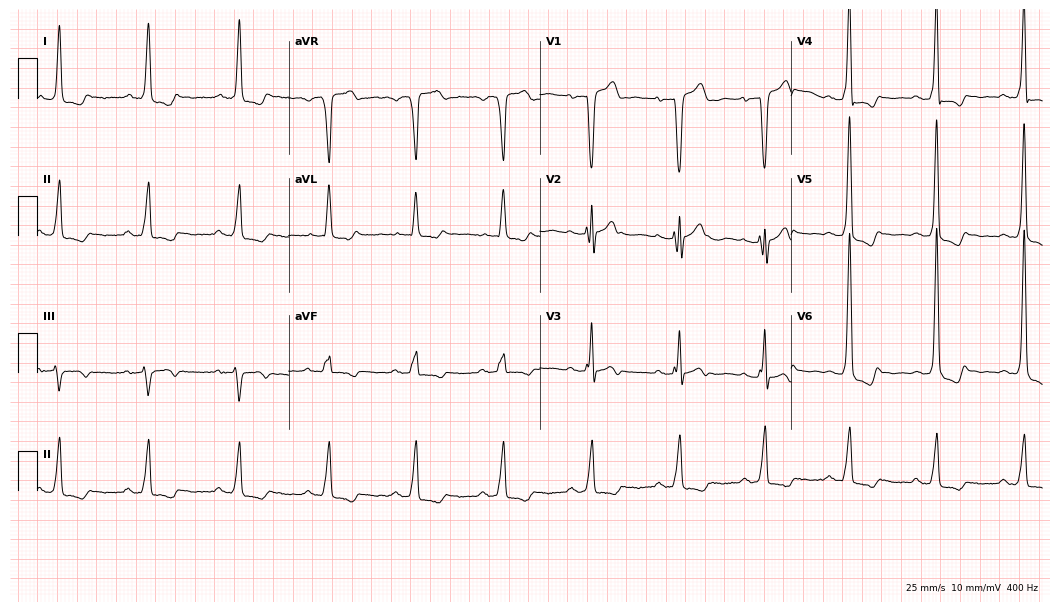
12-lead ECG (10.2-second recording at 400 Hz) from a male, 61 years old. Screened for six findings — first-degree AV block, right bundle branch block, left bundle branch block, sinus bradycardia, atrial fibrillation, sinus tachycardia — none is recorded. Findings outside these six are not listed.